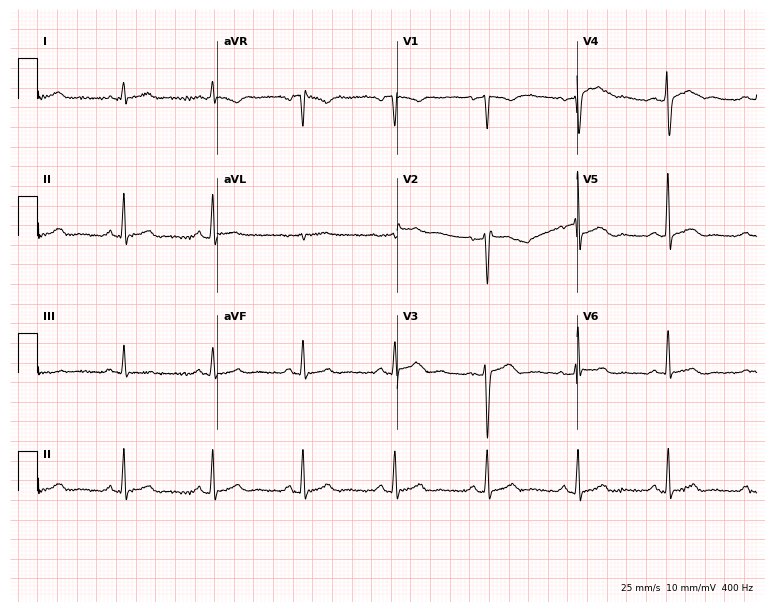
ECG — a 46-year-old male. Labelled as a normal ECG.